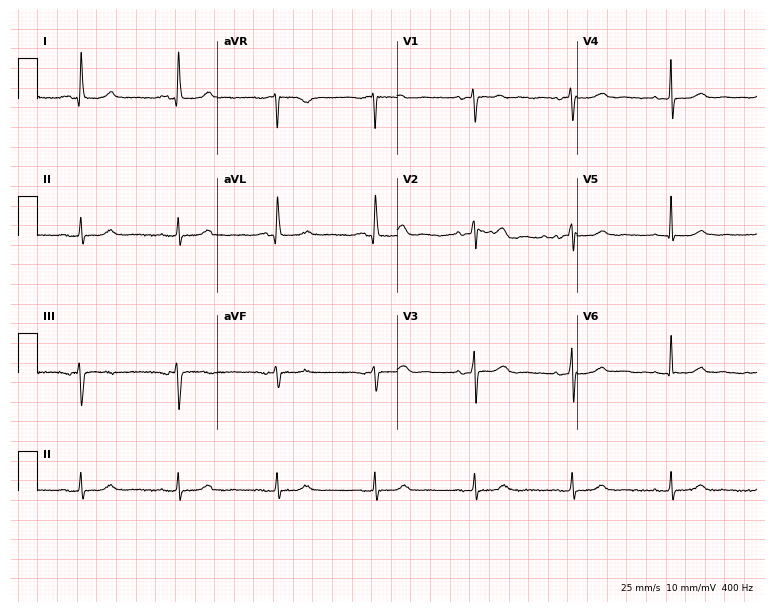
12-lead ECG from a woman, 77 years old (7.3-second recording at 400 Hz). No first-degree AV block, right bundle branch block (RBBB), left bundle branch block (LBBB), sinus bradycardia, atrial fibrillation (AF) or sinus tachycardia recorded for this tracing. Findings outside these six are not listed.